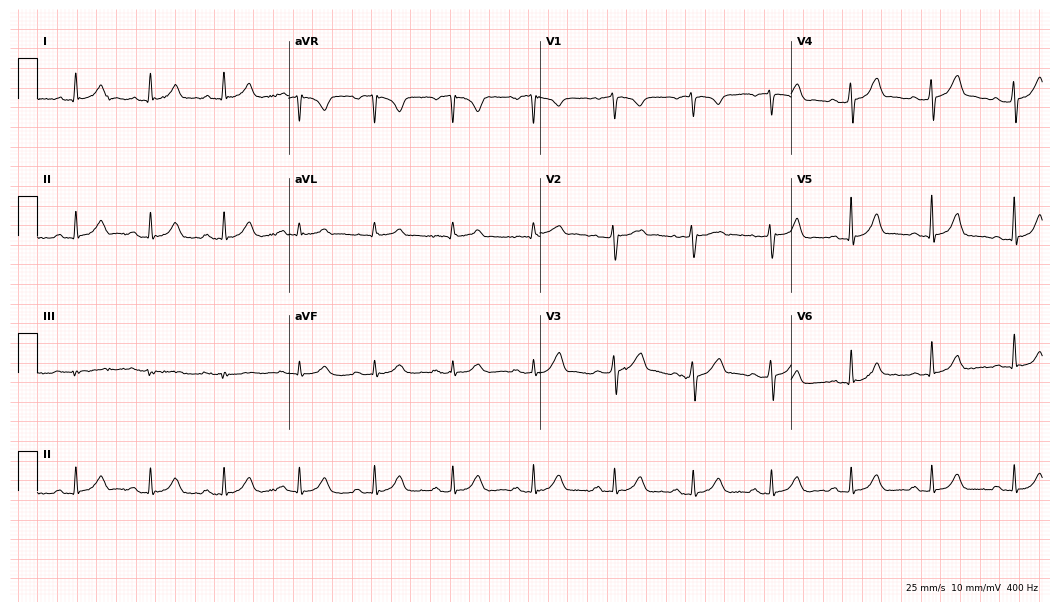
Standard 12-lead ECG recorded from a male, 52 years old. Read as a normal ECG.